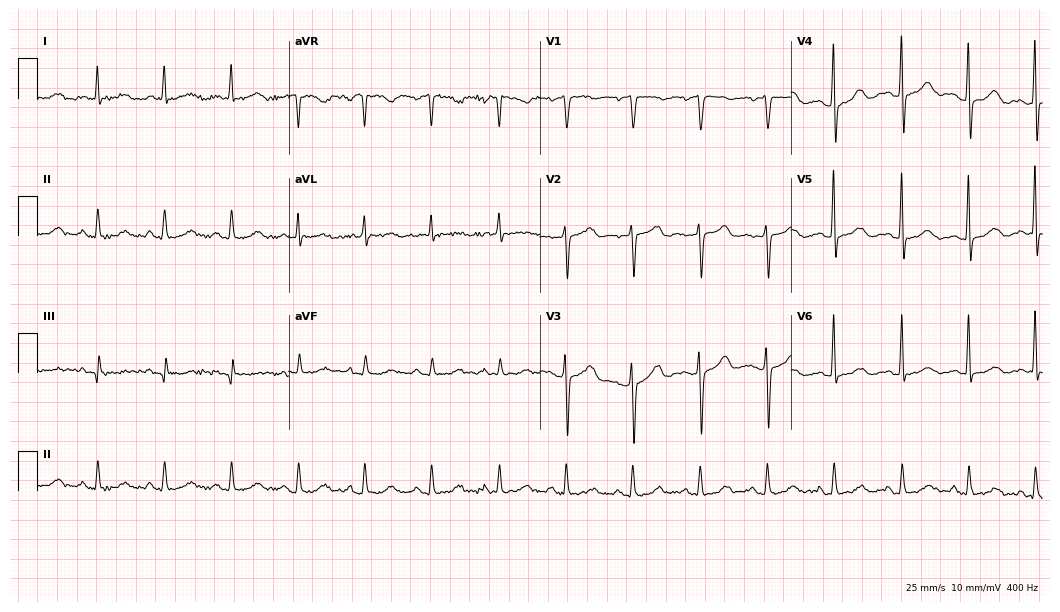
ECG (10.2-second recording at 400 Hz) — a woman, 75 years old. Screened for six findings — first-degree AV block, right bundle branch block, left bundle branch block, sinus bradycardia, atrial fibrillation, sinus tachycardia — none is recorded.